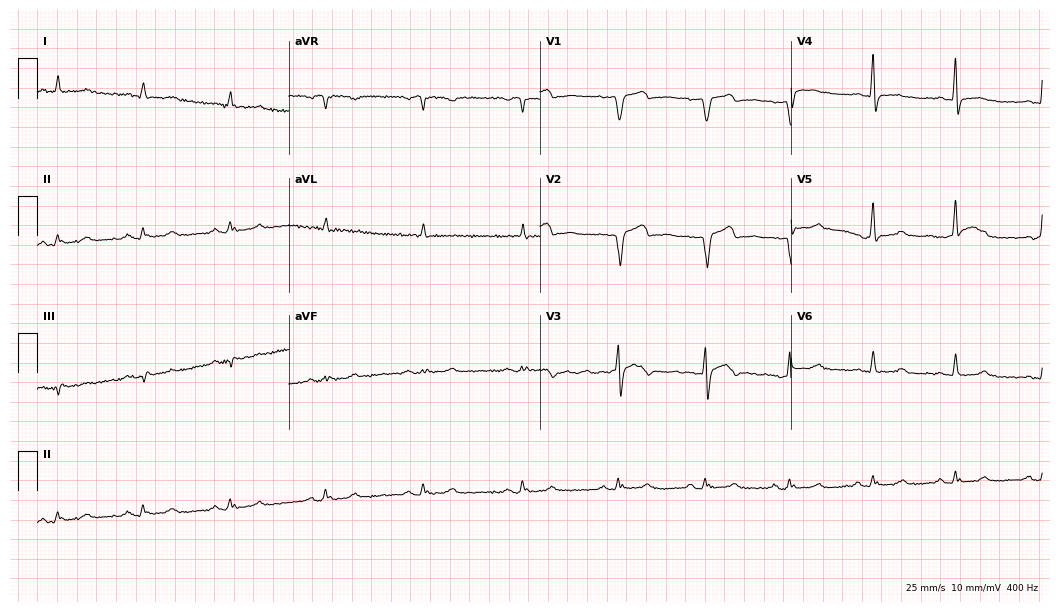
ECG (10.2-second recording at 400 Hz) — a 64-year-old male patient. Screened for six findings — first-degree AV block, right bundle branch block, left bundle branch block, sinus bradycardia, atrial fibrillation, sinus tachycardia — none is recorded.